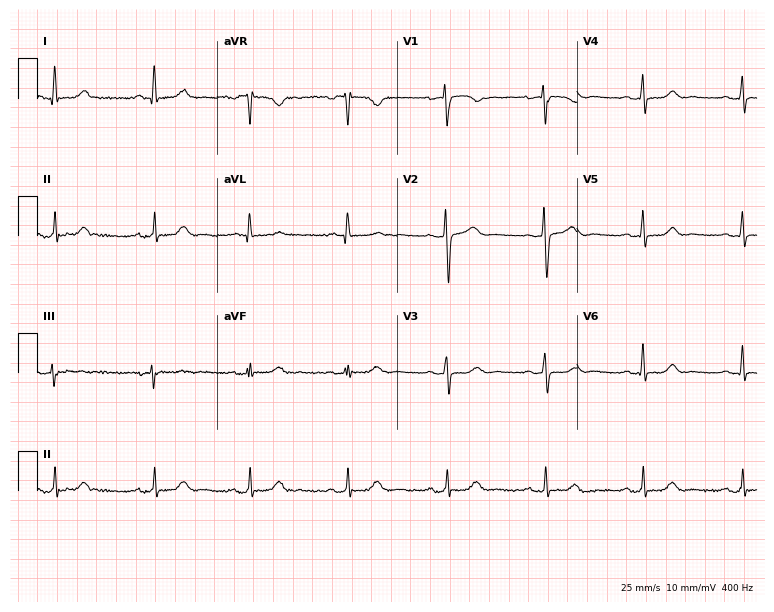
Resting 12-lead electrocardiogram (7.3-second recording at 400 Hz). Patient: a 59-year-old female. Read as a normal ECG.